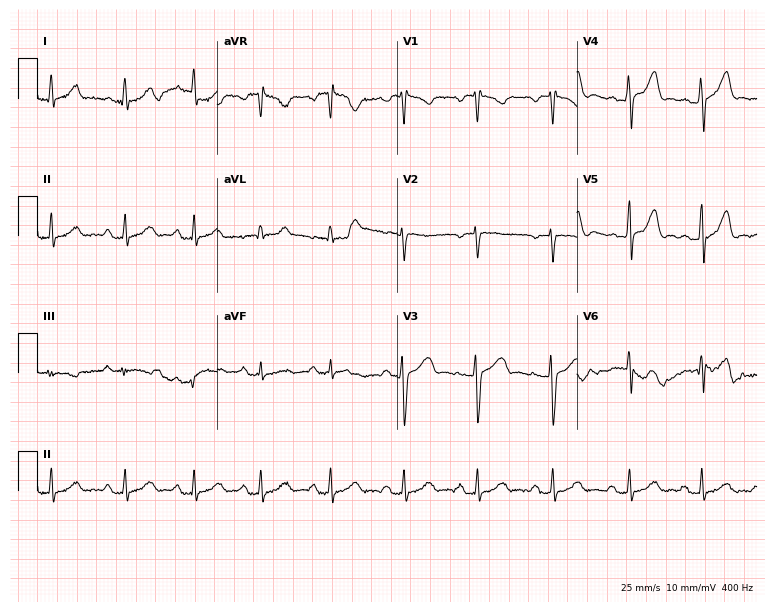
Electrocardiogram (7.3-second recording at 400 Hz), a woman, 25 years old. Overall reading on record: normal ECG.